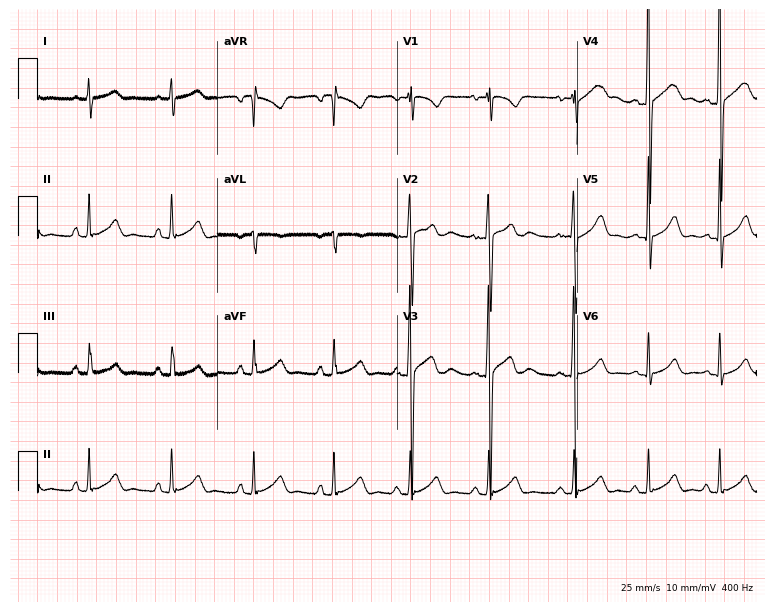
12-lead ECG from a male patient, 19 years old. No first-degree AV block, right bundle branch block, left bundle branch block, sinus bradycardia, atrial fibrillation or sinus tachycardia recorded for this tracing.